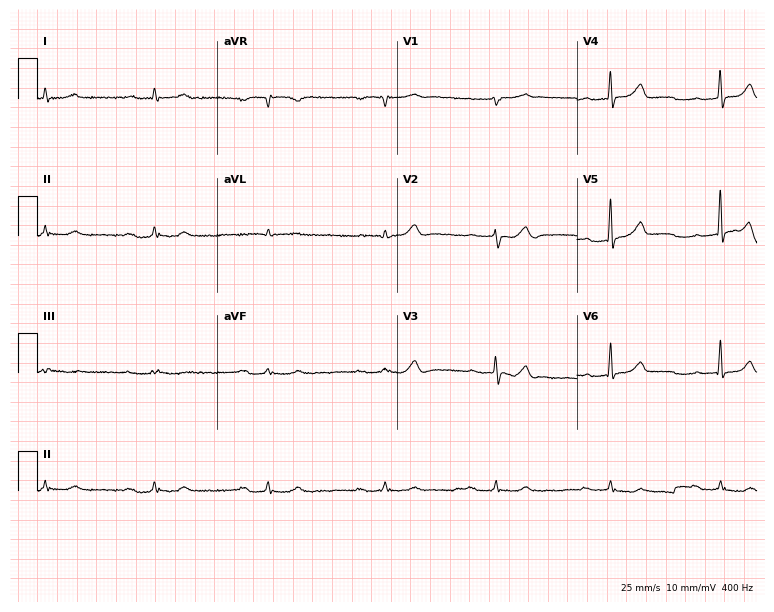
Resting 12-lead electrocardiogram (7.3-second recording at 400 Hz). Patient: a 64-year-old male. The tracing shows first-degree AV block.